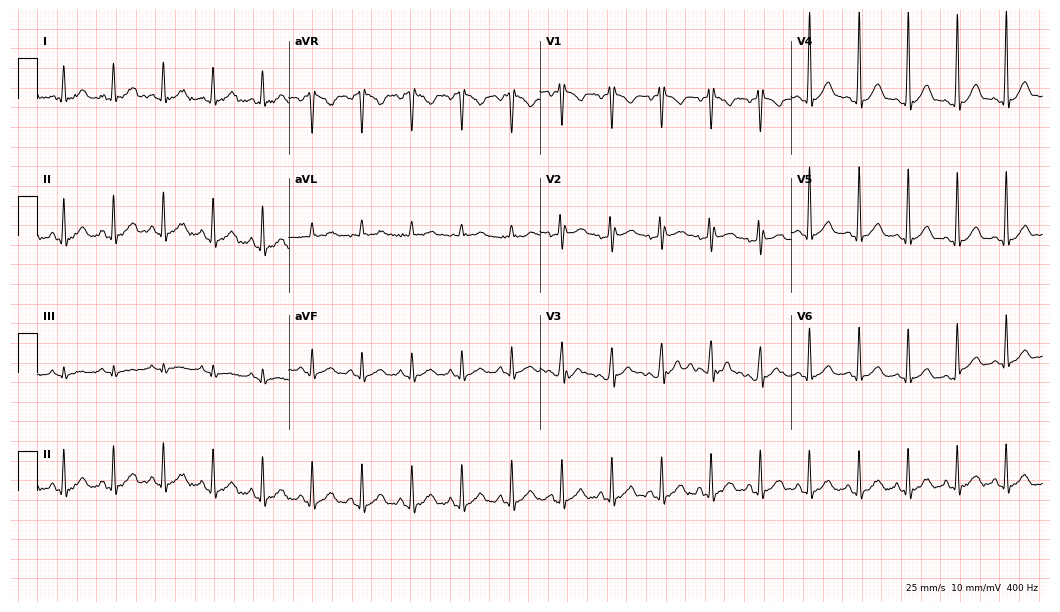
12-lead ECG from a 32-year-old male patient. No first-degree AV block, right bundle branch block (RBBB), left bundle branch block (LBBB), sinus bradycardia, atrial fibrillation (AF) or sinus tachycardia recorded for this tracing. Other findings, if any, are not listed.